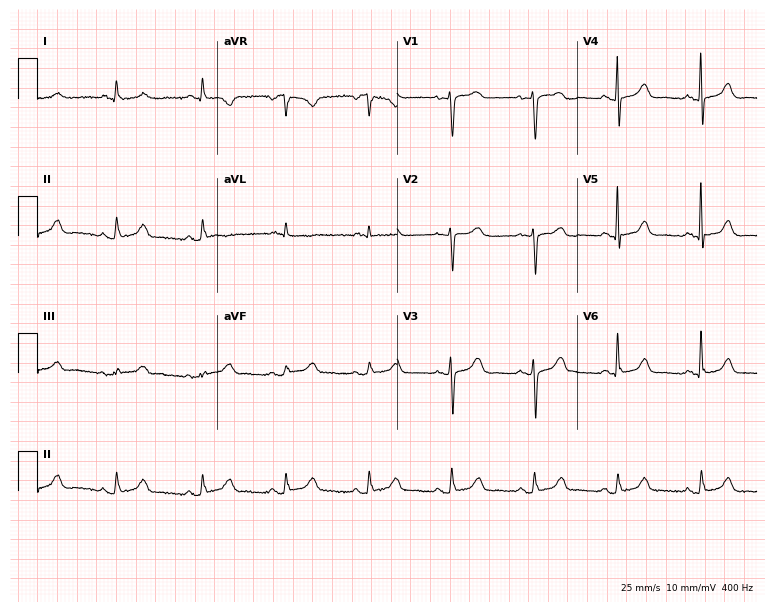
ECG (7.3-second recording at 400 Hz) — an 81-year-old woman. Labelled as a normal ECG.